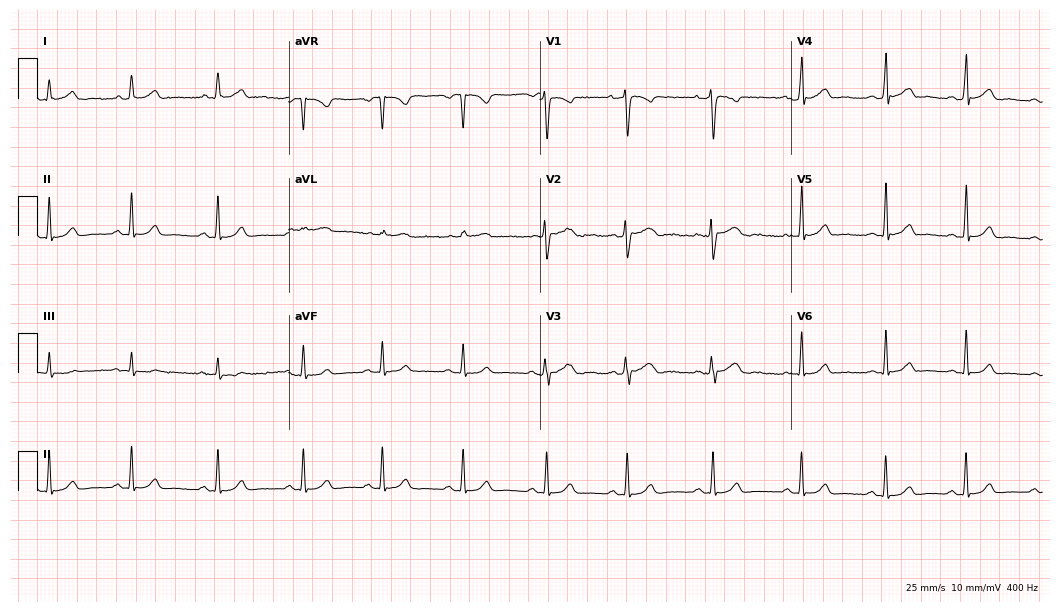
Standard 12-lead ECG recorded from a 25-year-old female patient (10.2-second recording at 400 Hz). None of these six findings is recorded: first-degree AV block, right bundle branch block (RBBB), left bundle branch block (LBBB), sinus bradycardia, atrial fibrillation (AF), sinus tachycardia. Other findings, if any, are not listed.